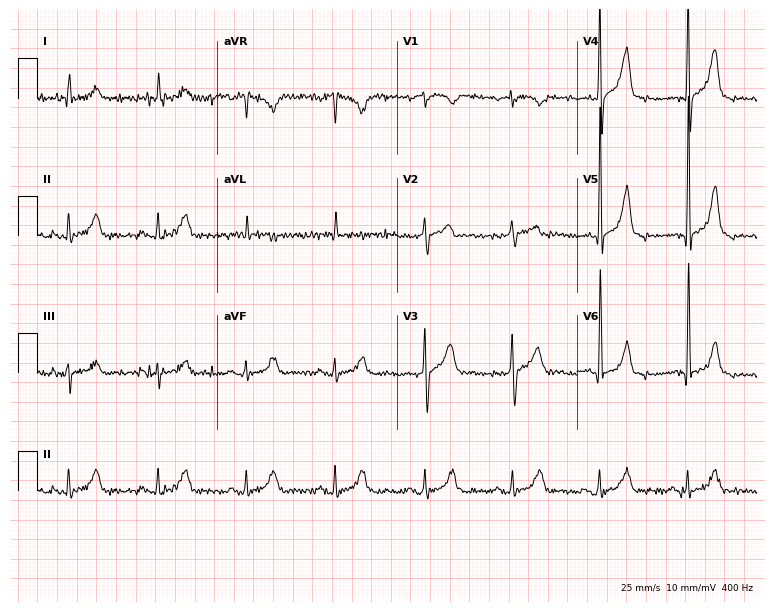
12-lead ECG from an 80-year-old male patient (7.3-second recording at 400 Hz). Recorded interpretation: within normal limits.